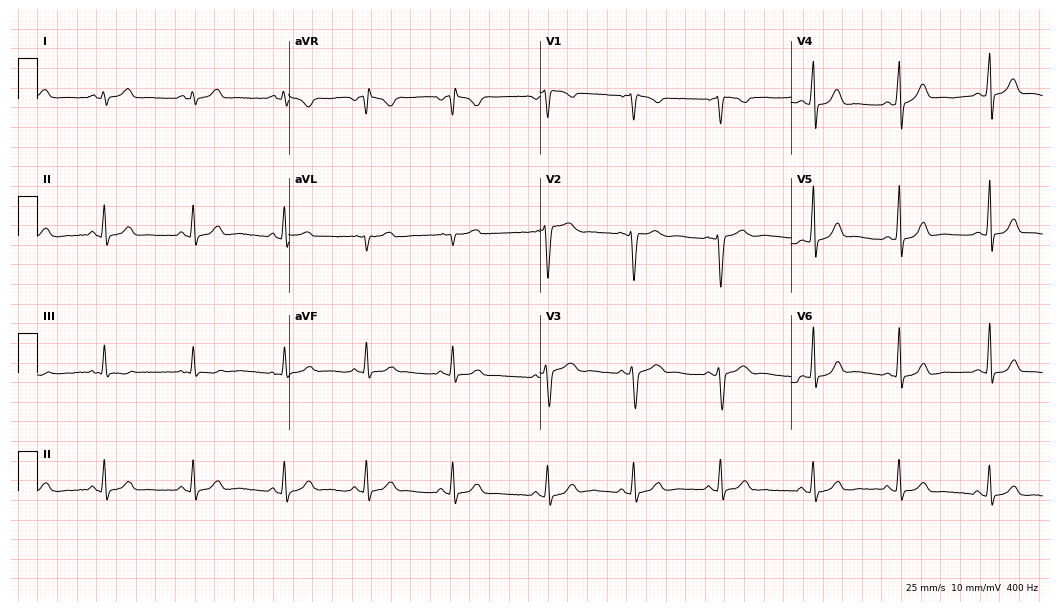
Resting 12-lead electrocardiogram. Patient: a woman, 22 years old. None of these six findings is recorded: first-degree AV block, right bundle branch block, left bundle branch block, sinus bradycardia, atrial fibrillation, sinus tachycardia.